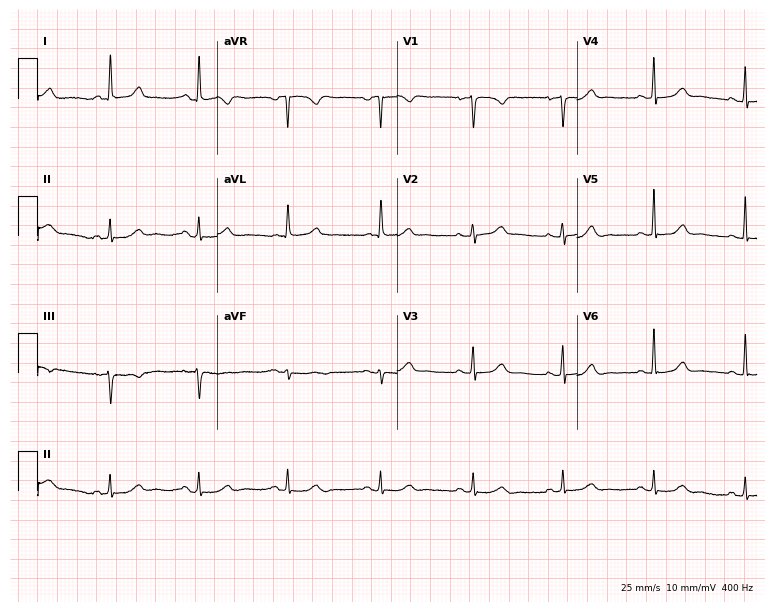
Resting 12-lead electrocardiogram (7.3-second recording at 400 Hz). Patient: a 66-year-old female. None of these six findings is recorded: first-degree AV block, right bundle branch block, left bundle branch block, sinus bradycardia, atrial fibrillation, sinus tachycardia.